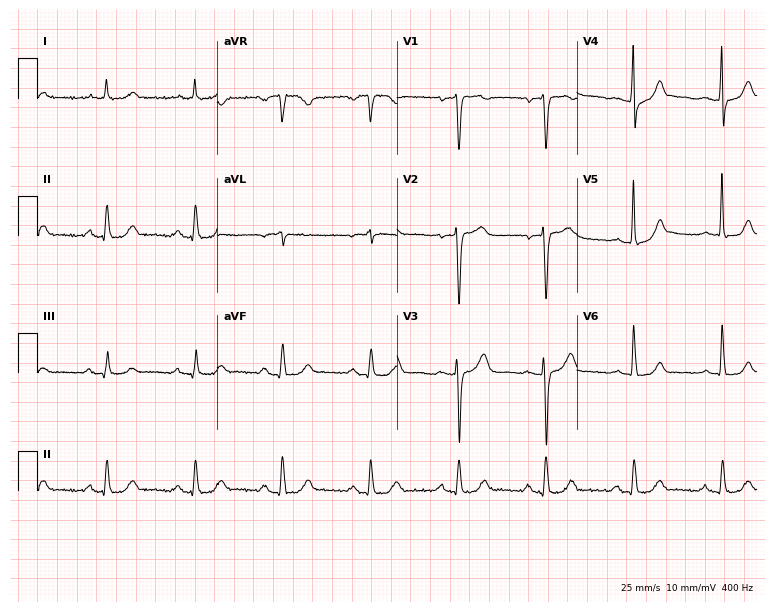
Electrocardiogram (7.3-second recording at 400 Hz), a male, 80 years old. Overall reading on record: normal ECG.